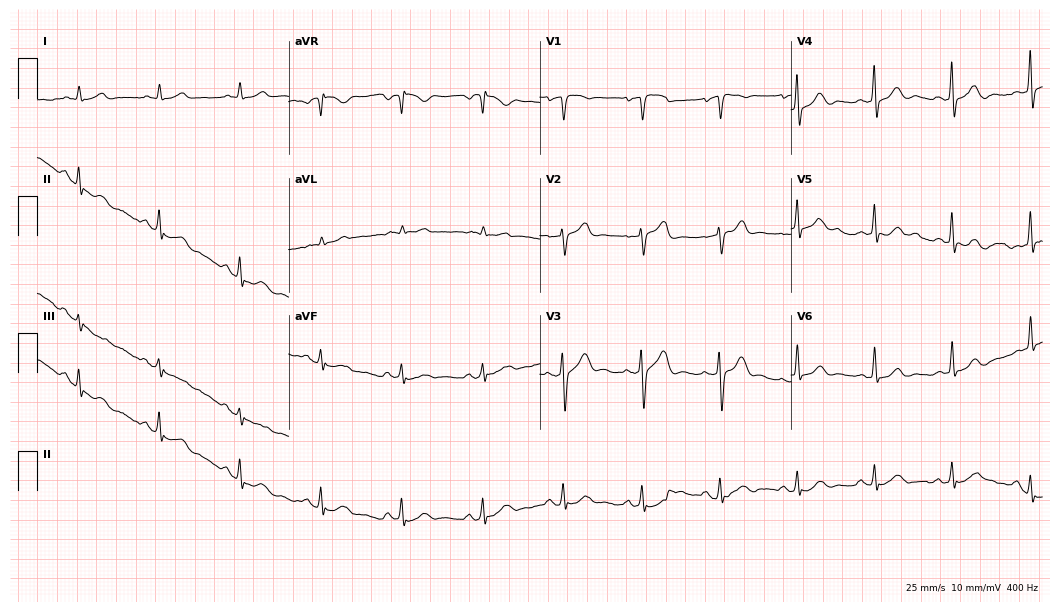
Resting 12-lead electrocardiogram. Patient: a 70-year-old man. Read as a normal ECG.